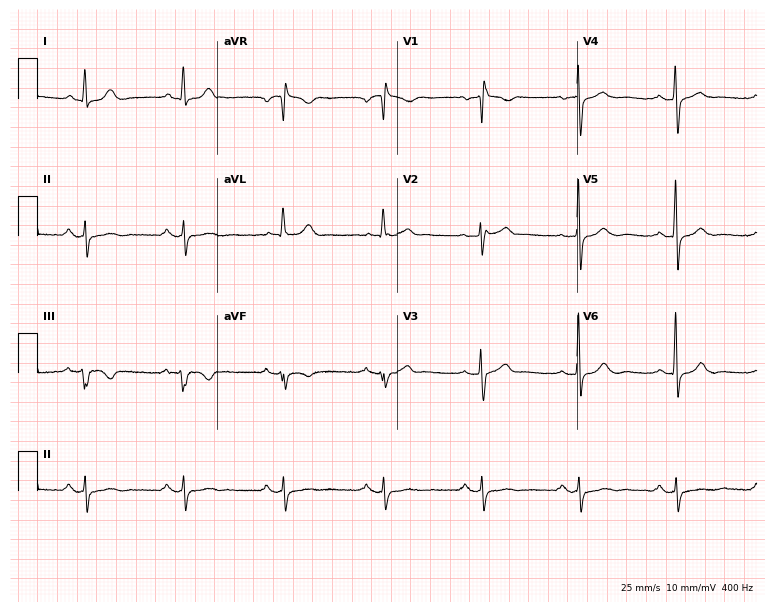
ECG — a 70-year-old man. Screened for six findings — first-degree AV block, right bundle branch block, left bundle branch block, sinus bradycardia, atrial fibrillation, sinus tachycardia — none is recorded. Other findings, if any, are not listed.